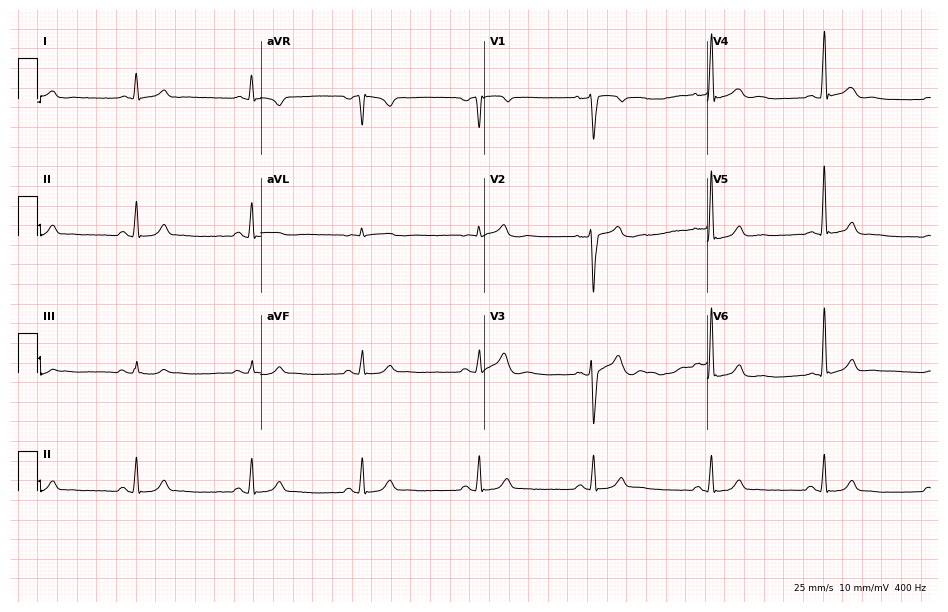
Standard 12-lead ECG recorded from a 43-year-old male patient. Read as a normal ECG.